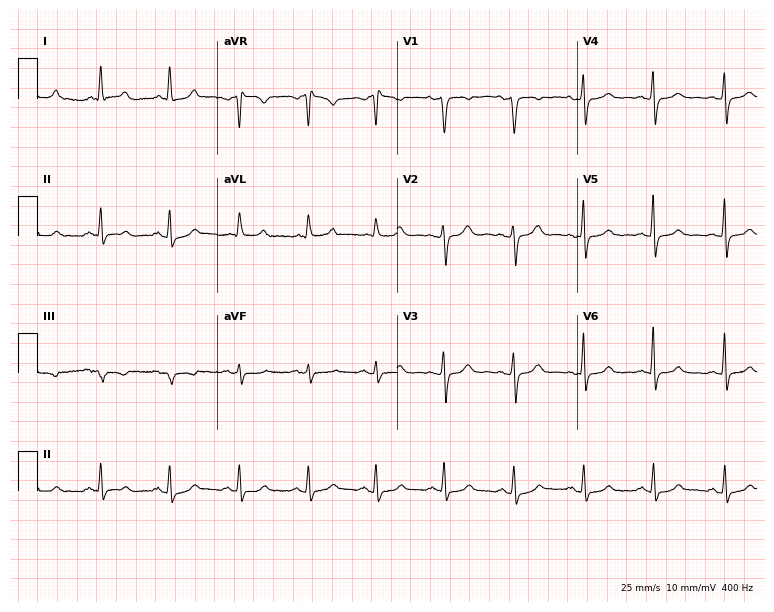
12-lead ECG from a female patient, 50 years old (7.3-second recording at 400 Hz). No first-degree AV block, right bundle branch block, left bundle branch block, sinus bradycardia, atrial fibrillation or sinus tachycardia recorded for this tracing.